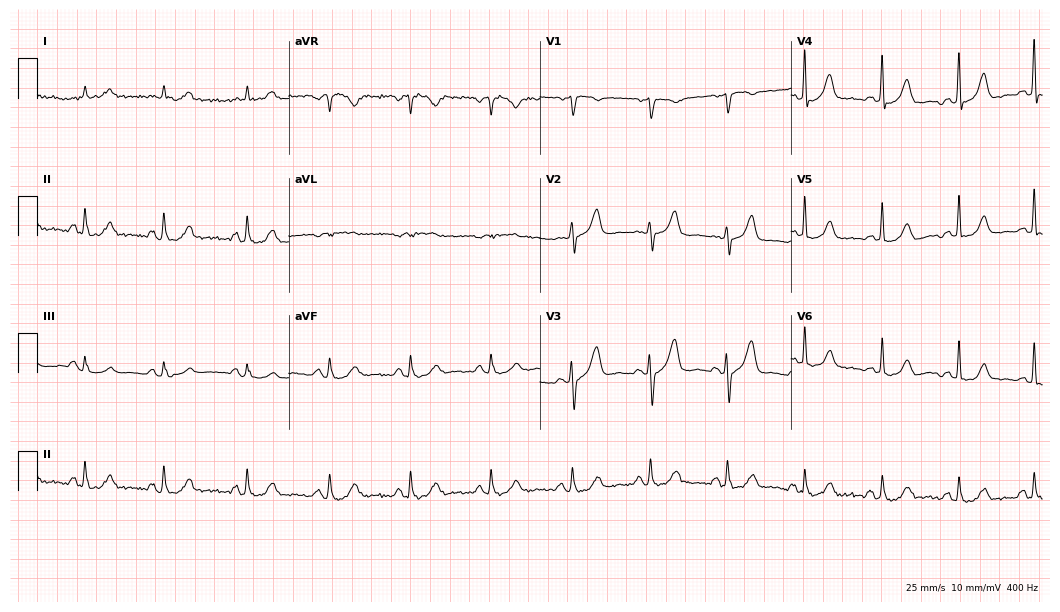
ECG (10.2-second recording at 400 Hz) — a 63-year-old female. Screened for six findings — first-degree AV block, right bundle branch block, left bundle branch block, sinus bradycardia, atrial fibrillation, sinus tachycardia — none is recorded. Findings outside these six are not listed.